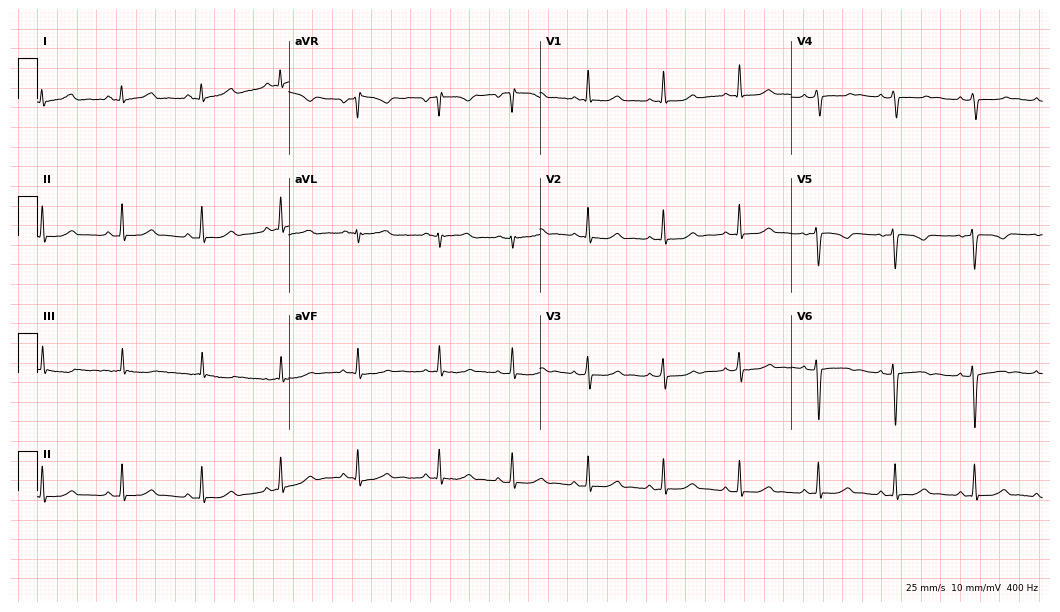
Standard 12-lead ECG recorded from a female patient, 29 years old. None of these six findings is recorded: first-degree AV block, right bundle branch block, left bundle branch block, sinus bradycardia, atrial fibrillation, sinus tachycardia. Other findings, if any, are not listed.